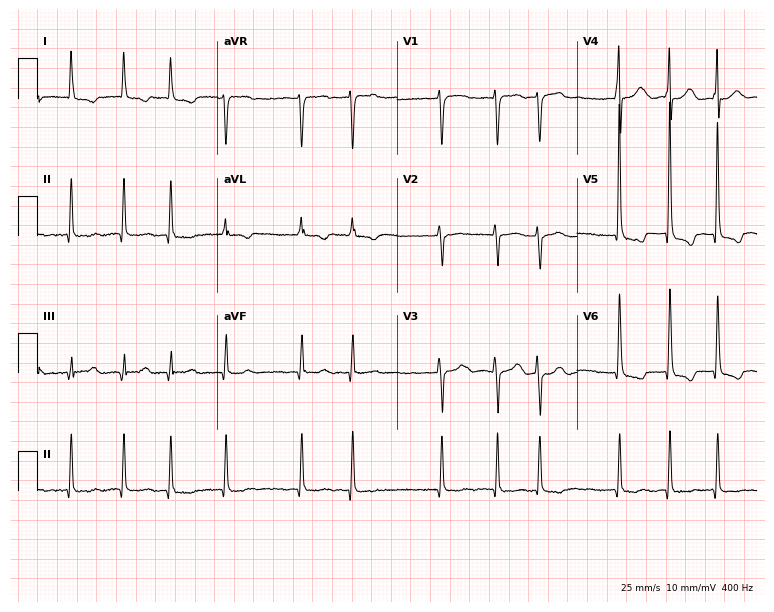
Electrocardiogram (7.3-second recording at 400 Hz), a 76-year-old woman. Interpretation includes atrial fibrillation (AF).